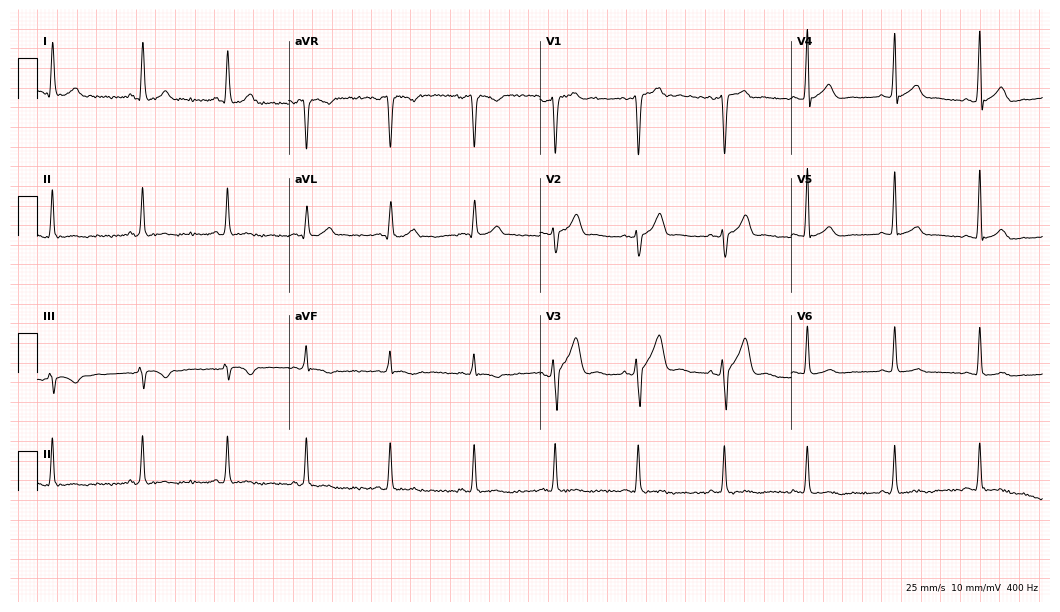
12-lead ECG from a 27-year-old man. Screened for six findings — first-degree AV block, right bundle branch block, left bundle branch block, sinus bradycardia, atrial fibrillation, sinus tachycardia — none is recorded.